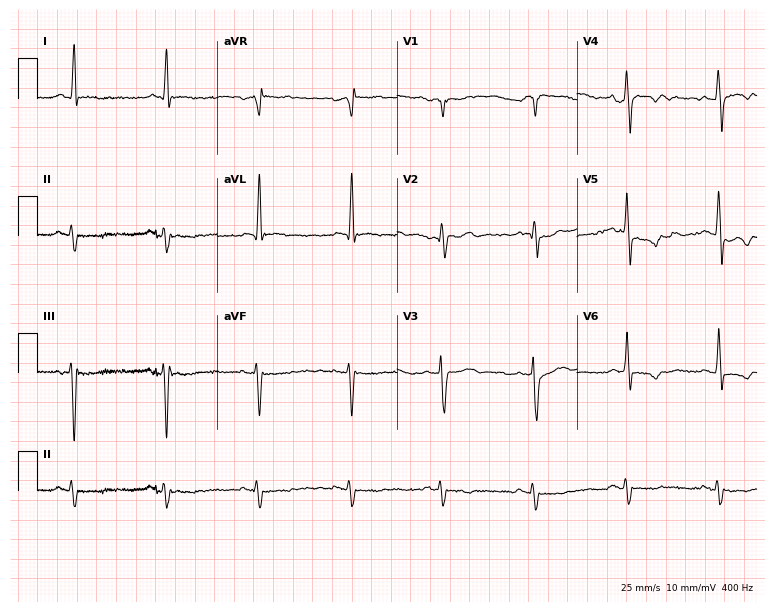
Resting 12-lead electrocardiogram. Patient: an 81-year-old male. None of these six findings is recorded: first-degree AV block, right bundle branch block, left bundle branch block, sinus bradycardia, atrial fibrillation, sinus tachycardia.